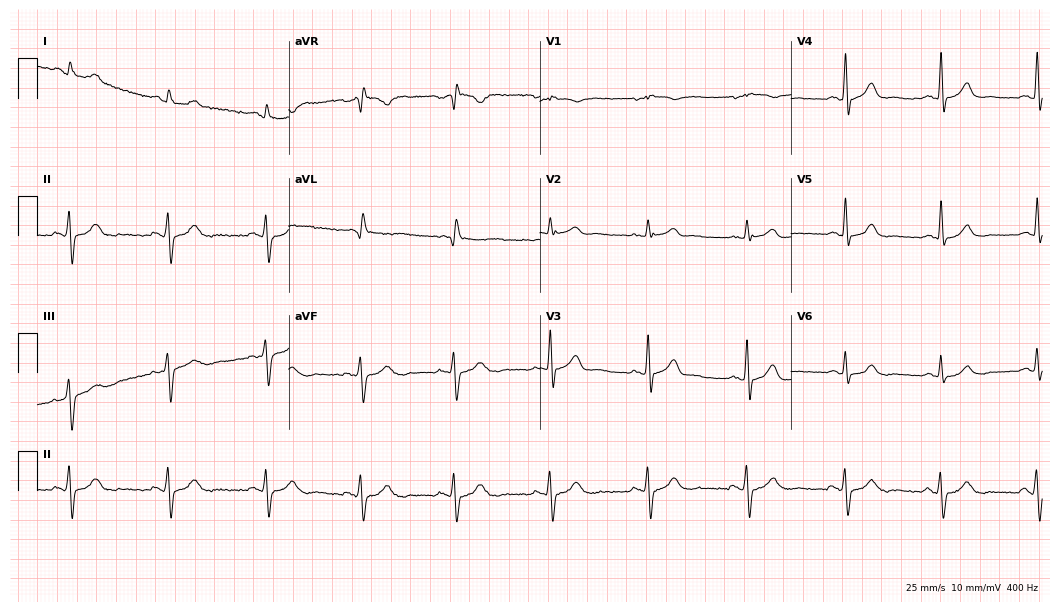
Standard 12-lead ECG recorded from a 68-year-old male patient. None of these six findings is recorded: first-degree AV block, right bundle branch block, left bundle branch block, sinus bradycardia, atrial fibrillation, sinus tachycardia. Other findings, if any, are not listed.